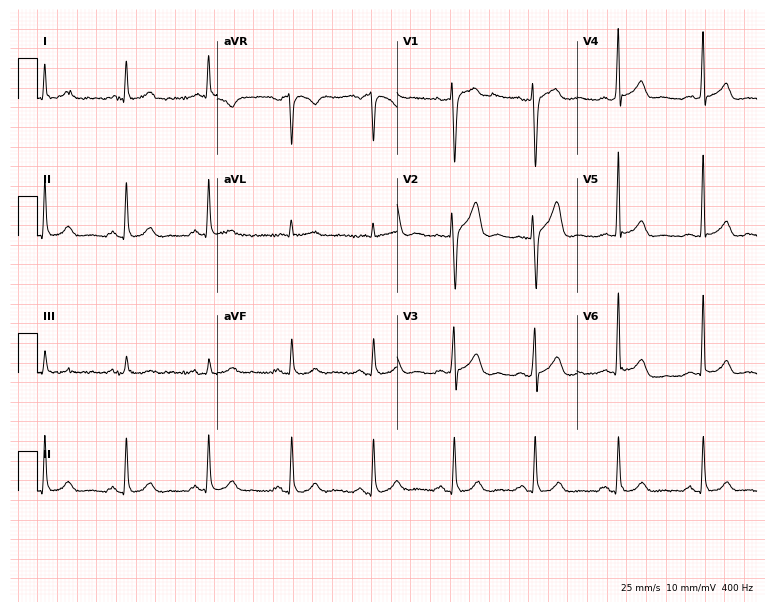
Electrocardiogram (7.3-second recording at 400 Hz), a 44-year-old man. Of the six screened findings (first-degree AV block, right bundle branch block (RBBB), left bundle branch block (LBBB), sinus bradycardia, atrial fibrillation (AF), sinus tachycardia), none is recorded. Other findings, if any, are not listed.